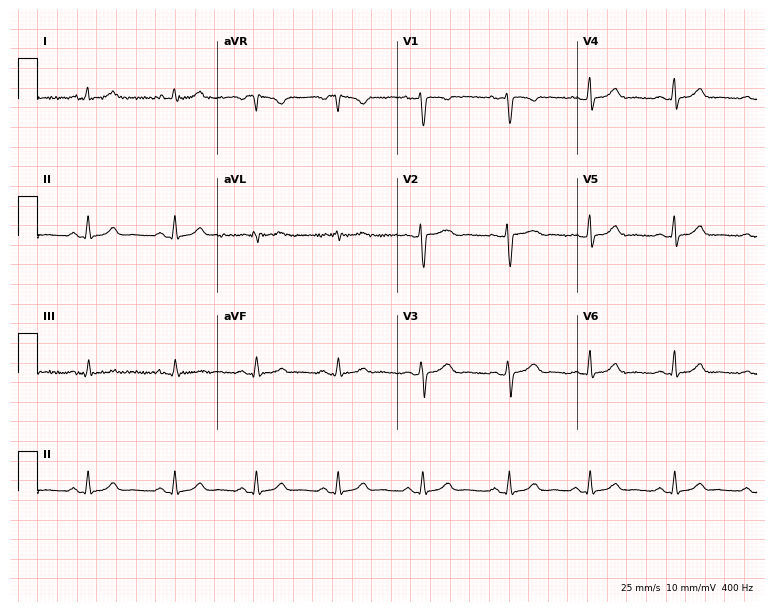
ECG (7.3-second recording at 400 Hz) — a 35-year-old woman. Labelled as a normal ECG.